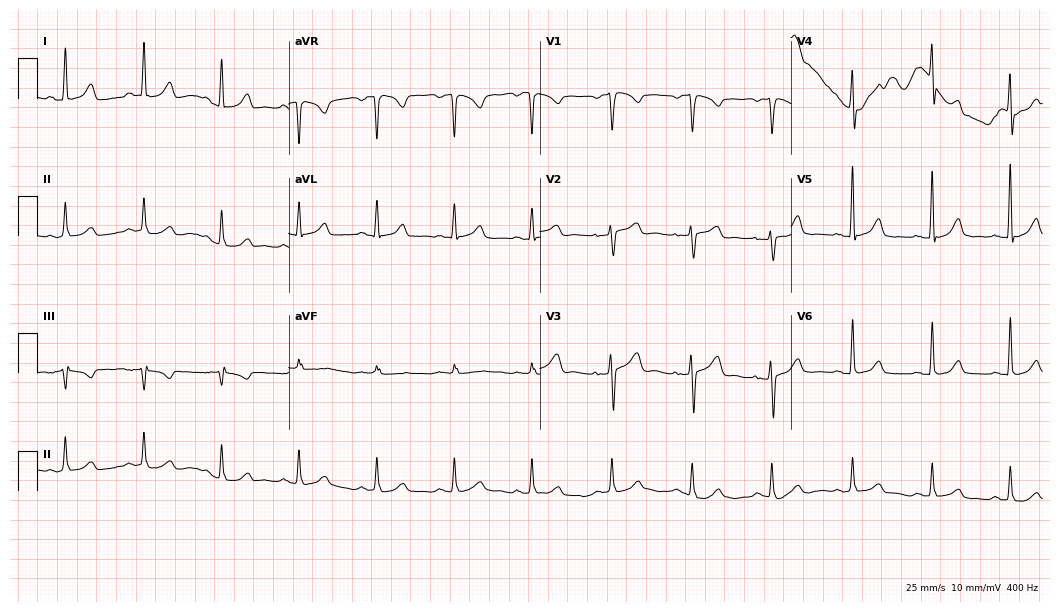
ECG — a 46-year-old female. Screened for six findings — first-degree AV block, right bundle branch block (RBBB), left bundle branch block (LBBB), sinus bradycardia, atrial fibrillation (AF), sinus tachycardia — none is recorded. Only these six findings were labelled.